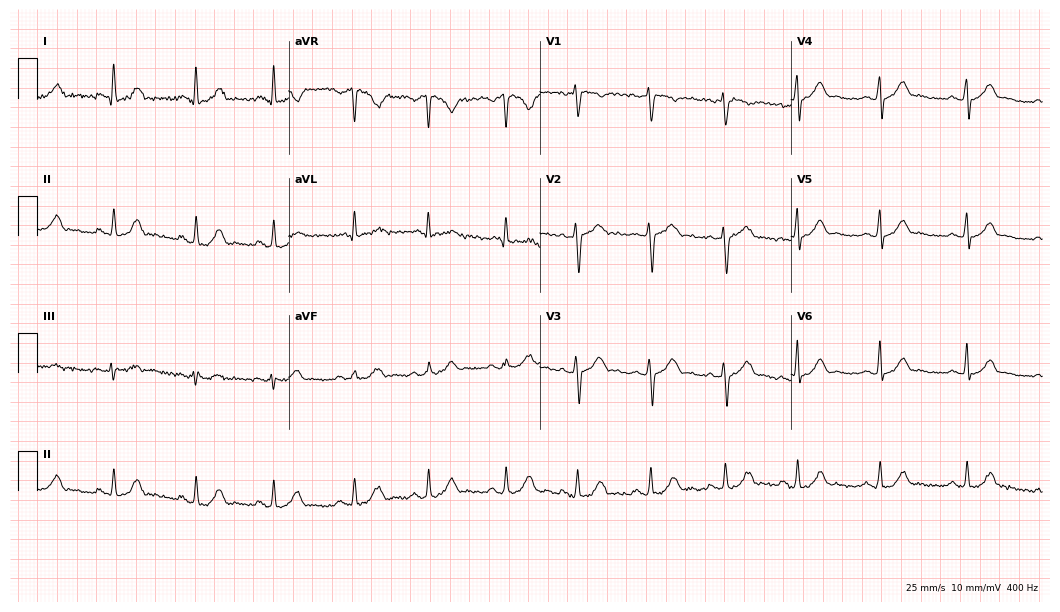
Resting 12-lead electrocardiogram (10.2-second recording at 400 Hz). Patient: a female, 25 years old. Read as a normal ECG.